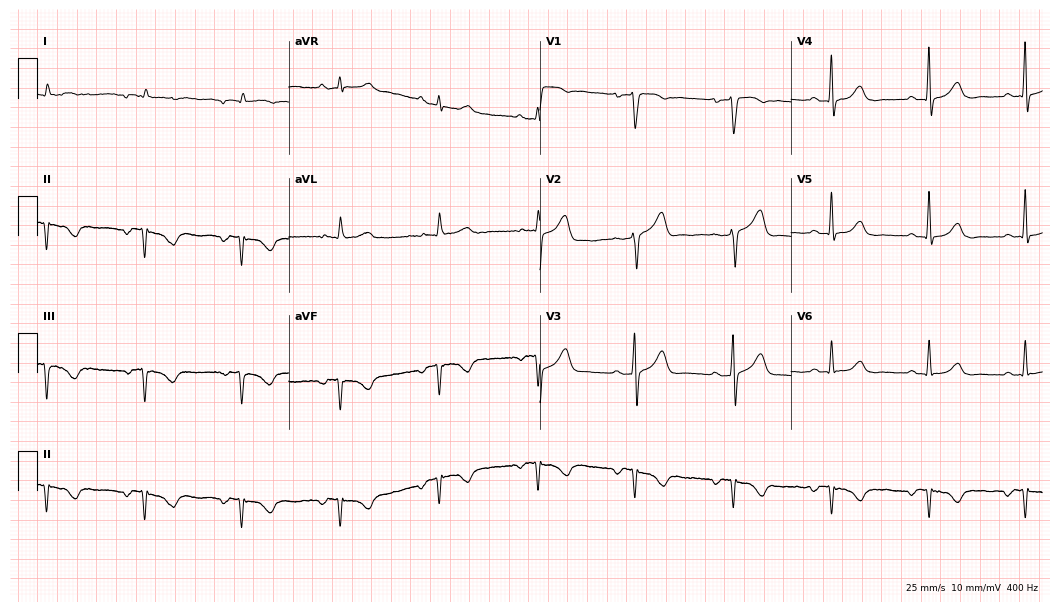
Standard 12-lead ECG recorded from a female, 84 years old (10.2-second recording at 400 Hz). None of these six findings is recorded: first-degree AV block, right bundle branch block (RBBB), left bundle branch block (LBBB), sinus bradycardia, atrial fibrillation (AF), sinus tachycardia. Other findings, if any, are not listed.